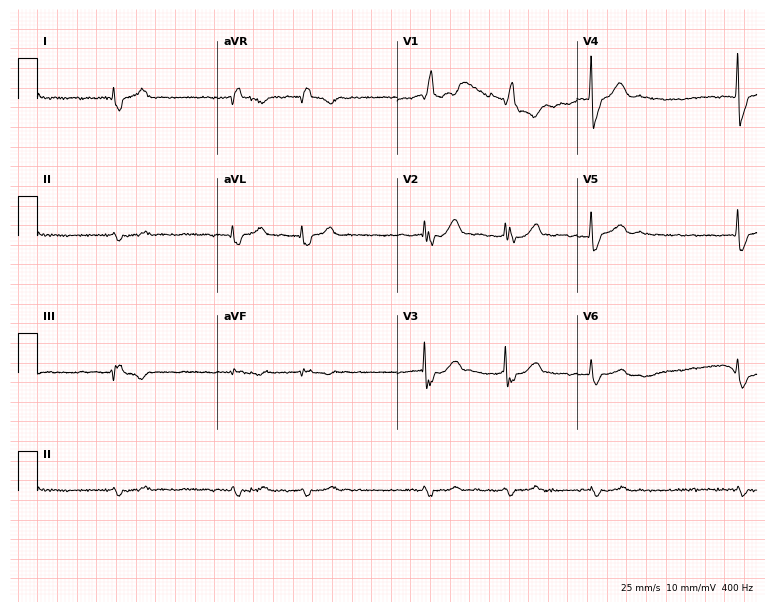
12-lead ECG from a man, 83 years old. Screened for six findings — first-degree AV block, right bundle branch block (RBBB), left bundle branch block (LBBB), sinus bradycardia, atrial fibrillation (AF), sinus tachycardia — none is recorded. Only these six findings were labelled.